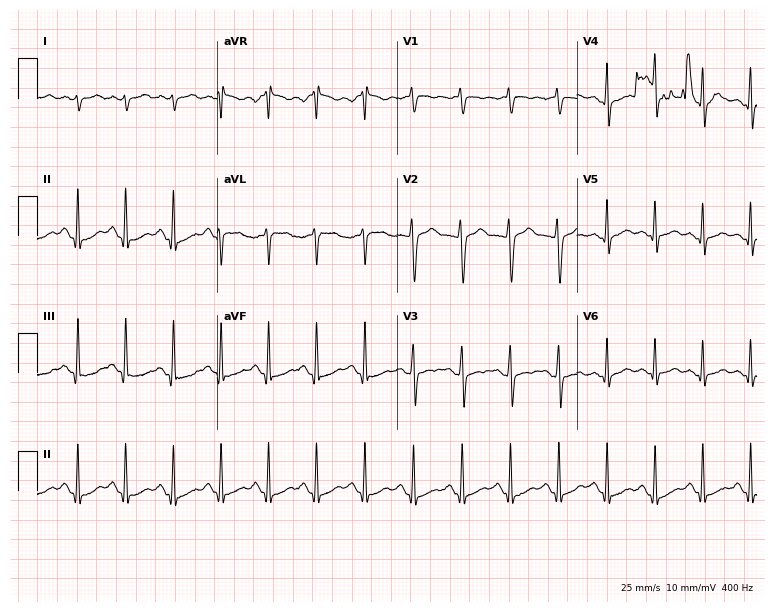
12-lead ECG from a 31-year-old female (7.3-second recording at 400 Hz). Shows sinus tachycardia (a sinus rate of 100 beats per minute or more).